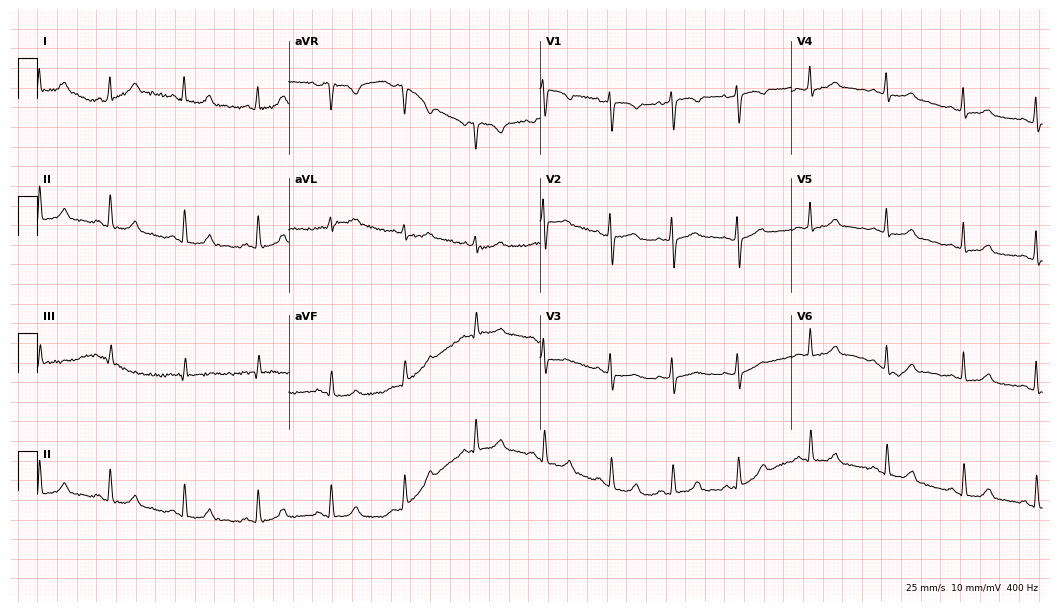
12-lead ECG from a 27-year-old woman. Recorded interpretation: within normal limits.